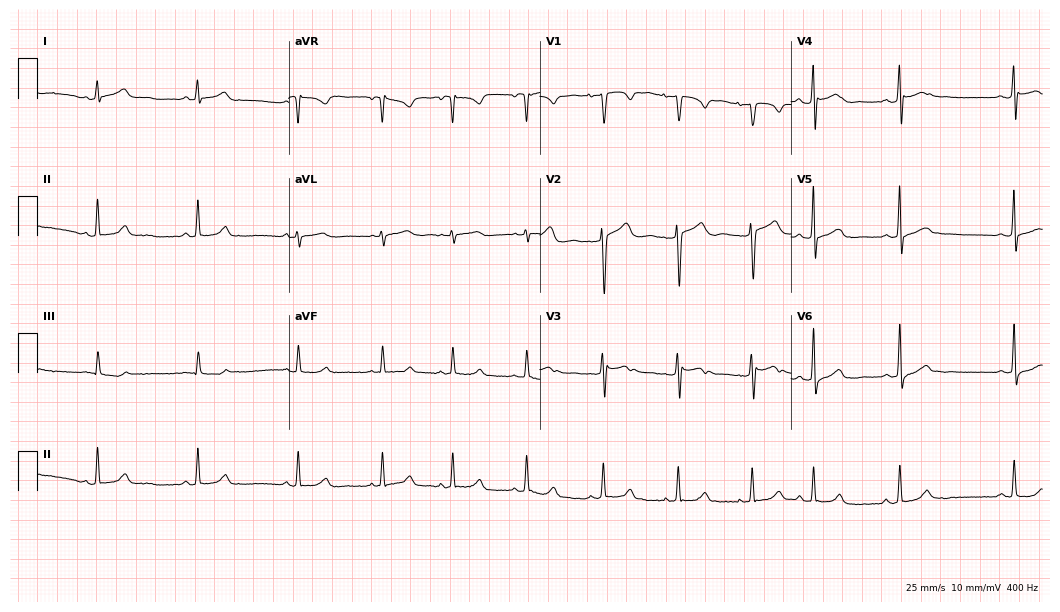
12-lead ECG from a 23-year-old woman (10.2-second recording at 400 Hz). Recorded interpretation: within normal limits.